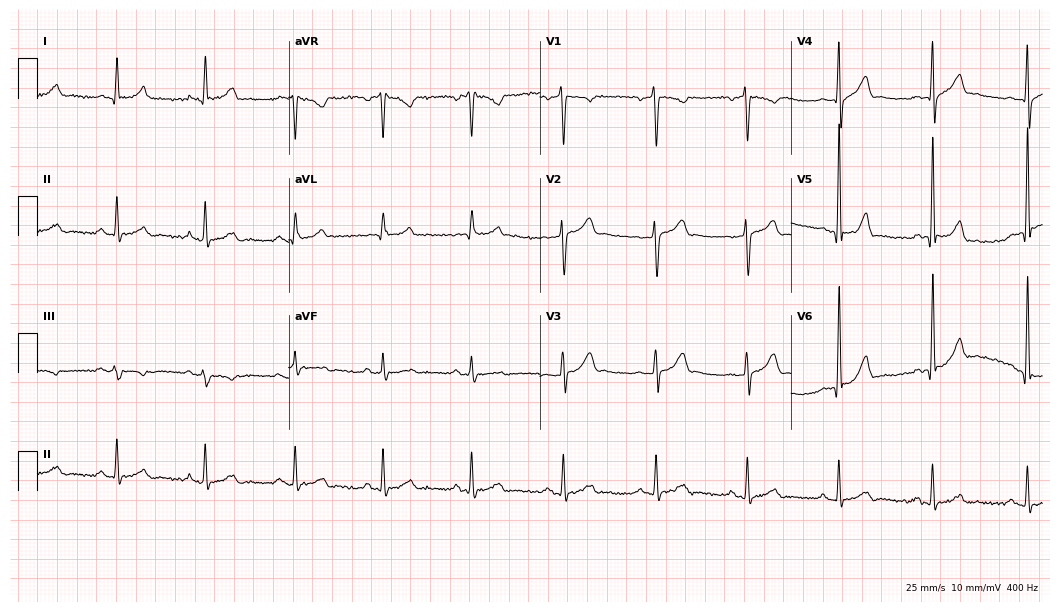
ECG — a male, 51 years old. Screened for six findings — first-degree AV block, right bundle branch block (RBBB), left bundle branch block (LBBB), sinus bradycardia, atrial fibrillation (AF), sinus tachycardia — none is recorded. Other findings, if any, are not listed.